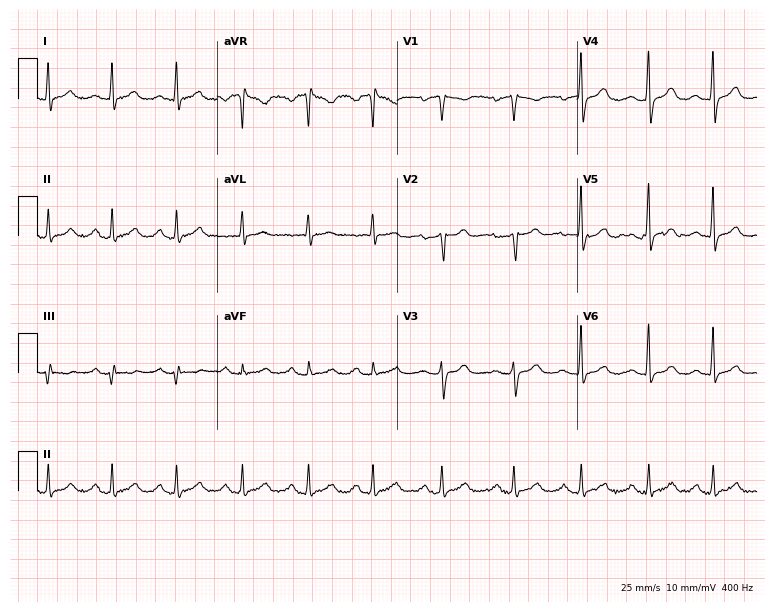
ECG — a female, 66 years old. Screened for six findings — first-degree AV block, right bundle branch block (RBBB), left bundle branch block (LBBB), sinus bradycardia, atrial fibrillation (AF), sinus tachycardia — none is recorded.